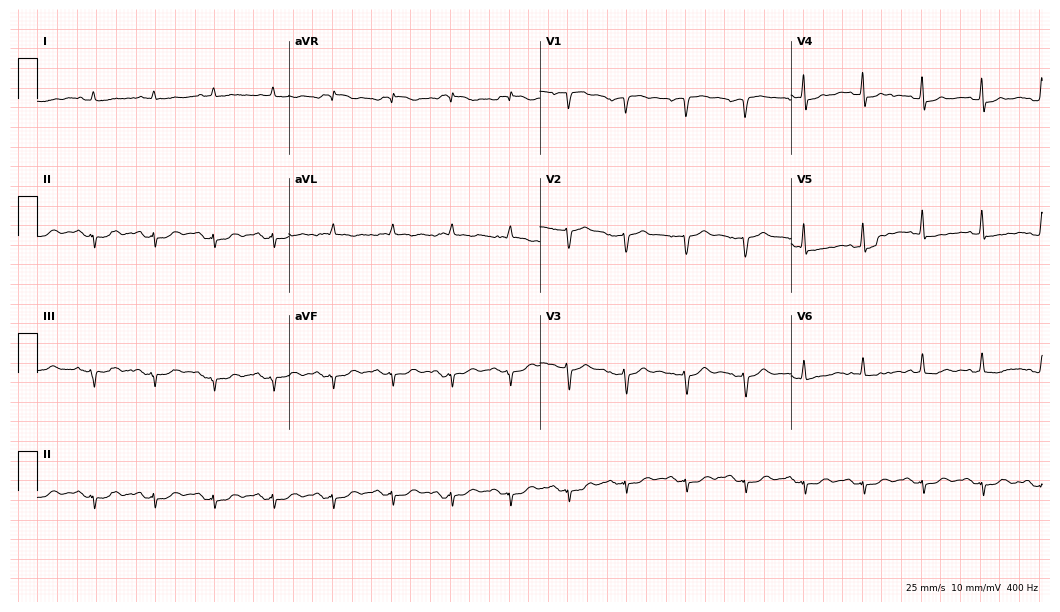
Resting 12-lead electrocardiogram (10.2-second recording at 400 Hz). Patient: an 80-year-old male. None of these six findings is recorded: first-degree AV block, right bundle branch block (RBBB), left bundle branch block (LBBB), sinus bradycardia, atrial fibrillation (AF), sinus tachycardia.